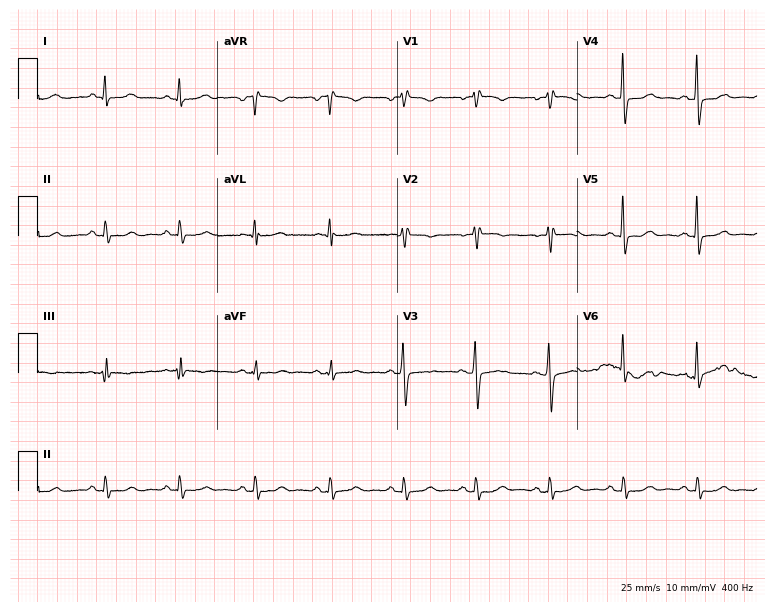
Standard 12-lead ECG recorded from a 42-year-old female. Read as a normal ECG.